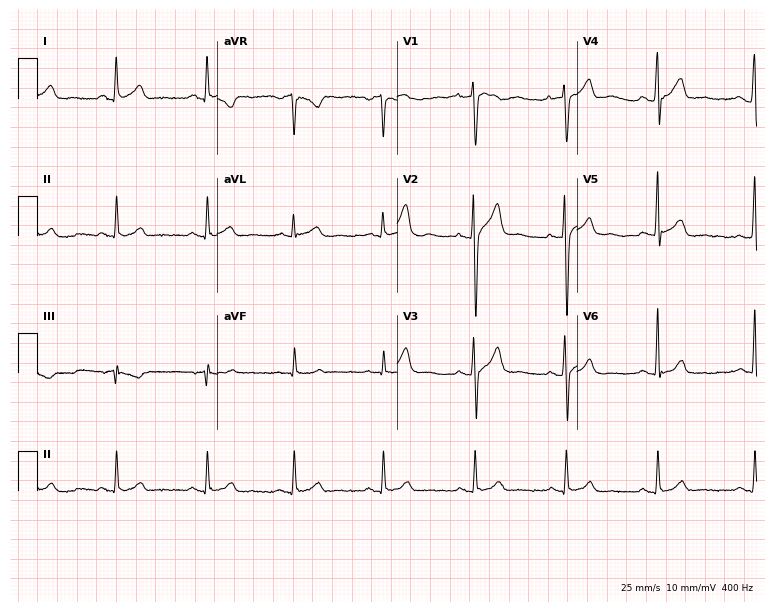
Standard 12-lead ECG recorded from a man, 33 years old (7.3-second recording at 400 Hz). Read as a normal ECG.